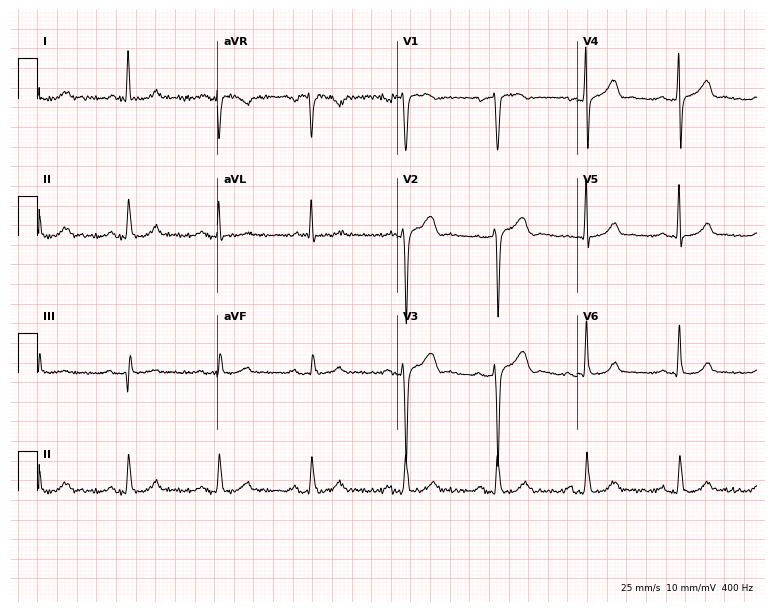
Resting 12-lead electrocardiogram (7.3-second recording at 400 Hz). Patient: a 54-year-old woman. None of these six findings is recorded: first-degree AV block, right bundle branch block, left bundle branch block, sinus bradycardia, atrial fibrillation, sinus tachycardia. Other findings, if any, are not listed.